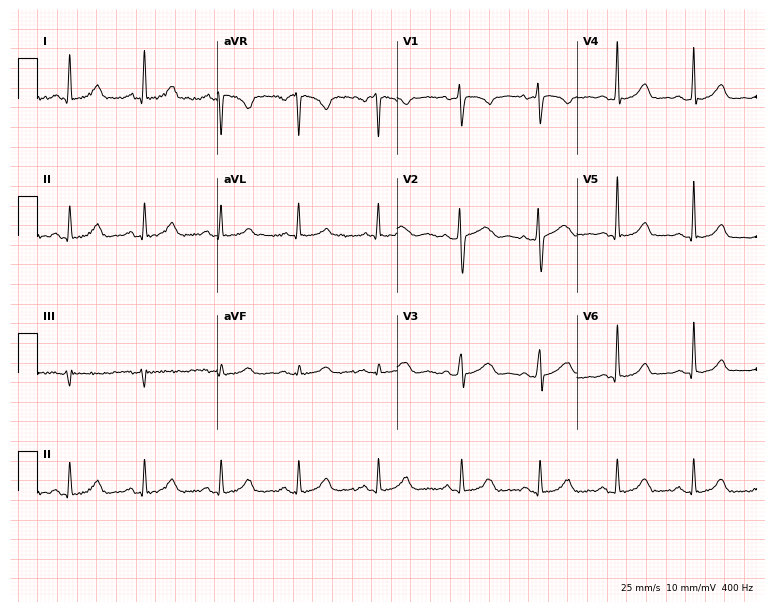
12-lead ECG from a 50-year-old female patient. Screened for six findings — first-degree AV block, right bundle branch block, left bundle branch block, sinus bradycardia, atrial fibrillation, sinus tachycardia — none is recorded. Other findings, if any, are not listed.